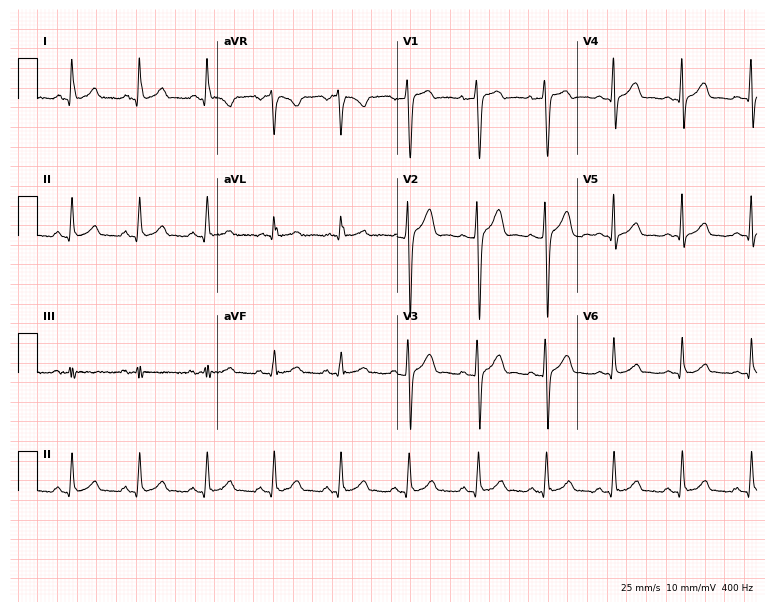
Resting 12-lead electrocardiogram. Patient: a 32-year-old male. None of these six findings is recorded: first-degree AV block, right bundle branch block (RBBB), left bundle branch block (LBBB), sinus bradycardia, atrial fibrillation (AF), sinus tachycardia.